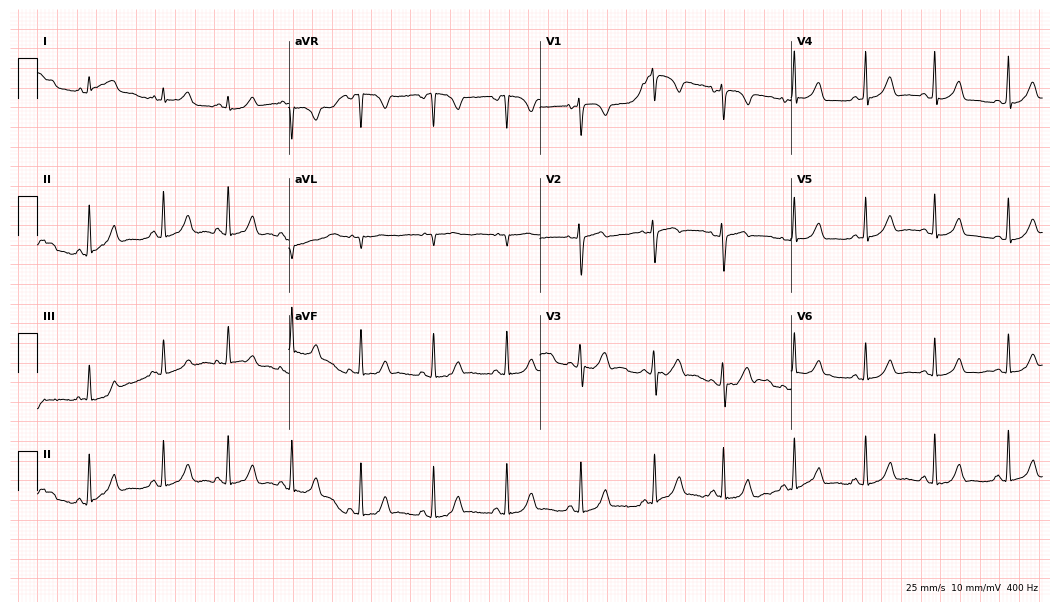
12-lead ECG from an 18-year-old female patient (10.2-second recording at 400 Hz). Recorded interpretation: within normal limits.